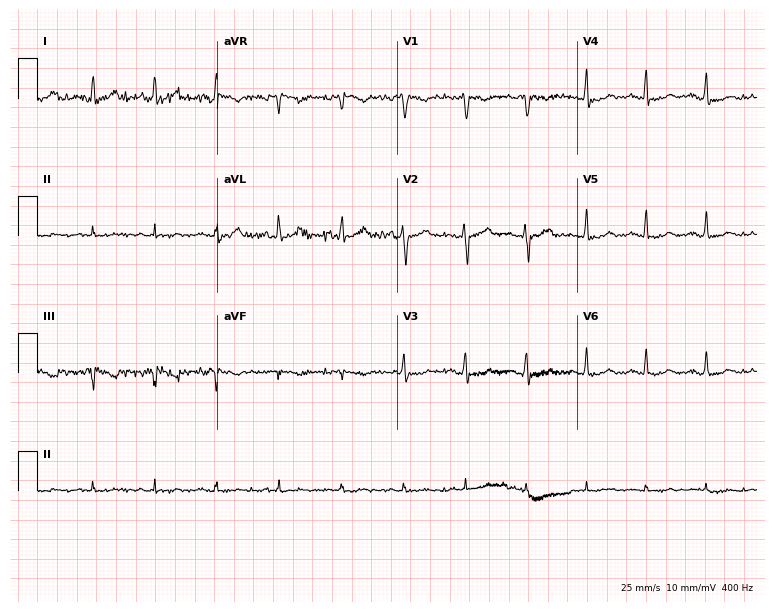
Standard 12-lead ECG recorded from a 37-year-old woman. None of these six findings is recorded: first-degree AV block, right bundle branch block, left bundle branch block, sinus bradycardia, atrial fibrillation, sinus tachycardia. Findings outside these six are not listed.